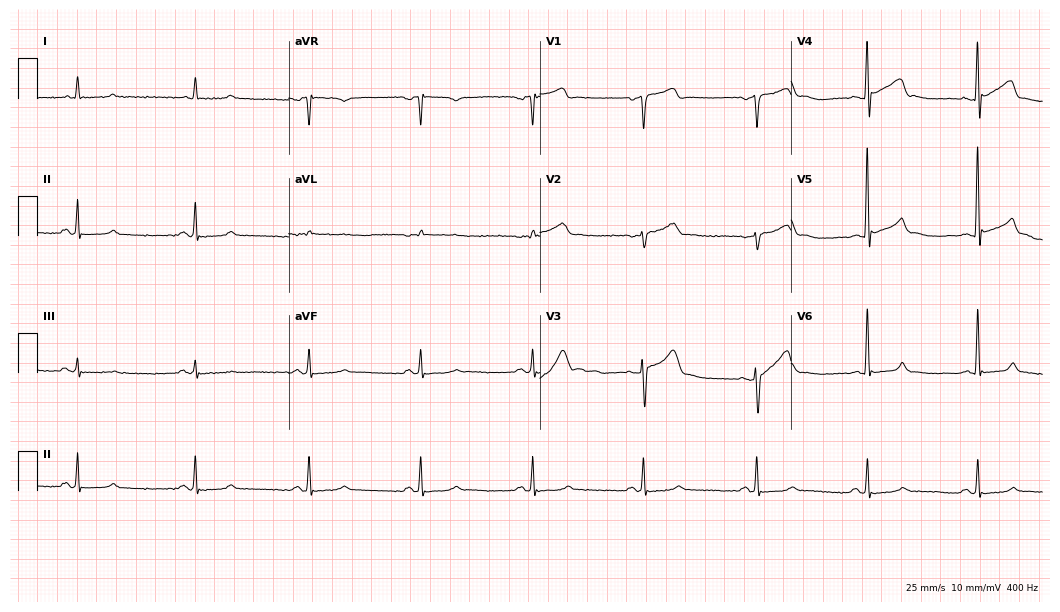
Electrocardiogram, a 74-year-old man. Of the six screened findings (first-degree AV block, right bundle branch block, left bundle branch block, sinus bradycardia, atrial fibrillation, sinus tachycardia), none is recorded.